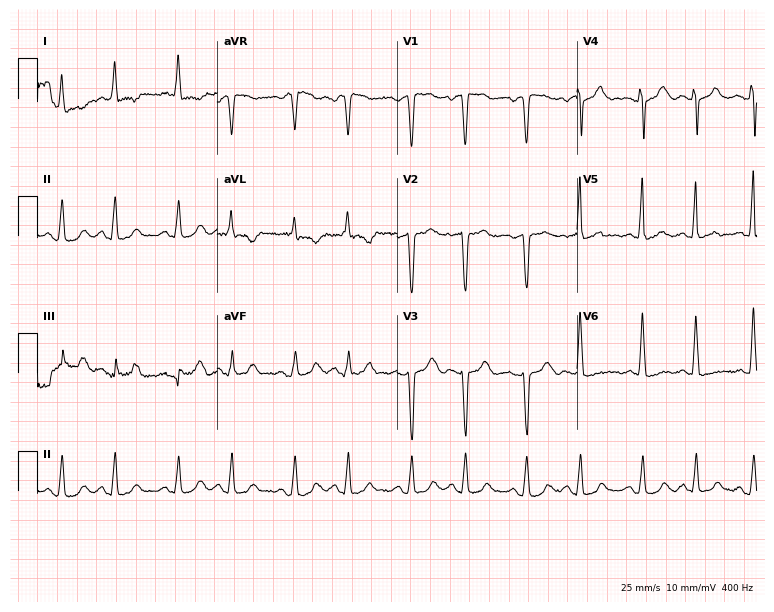
Resting 12-lead electrocardiogram (7.3-second recording at 400 Hz). Patient: a 58-year-old female. None of these six findings is recorded: first-degree AV block, right bundle branch block, left bundle branch block, sinus bradycardia, atrial fibrillation, sinus tachycardia.